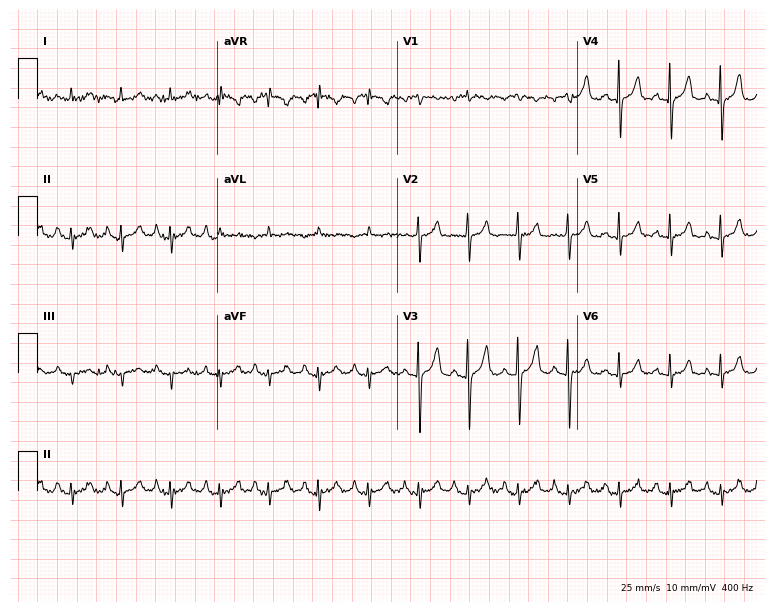
ECG (7.3-second recording at 400 Hz) — an 84-year-old woman. Screened for six findings — first-degree AV block, right bundle branch block, left bundle branch block, sinus bradycardia, atrial fibrillation, sinus tachycardia — none is recorded. Only these six findings were labelled.